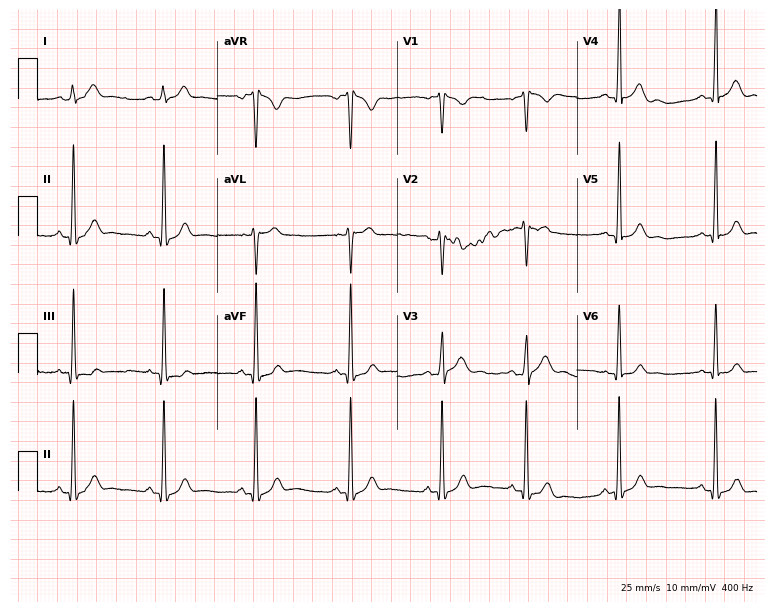
ECG (7.3-second recording at 400 Hz) — a 25-year-old male patient. Screened for six findings — first-degree AV block, right bundle branch block (RBBB), left bundle branch block (LBBB), sinus bradycardia, atrial fibrillation (AF), sinus tachycardia — none is recorded.